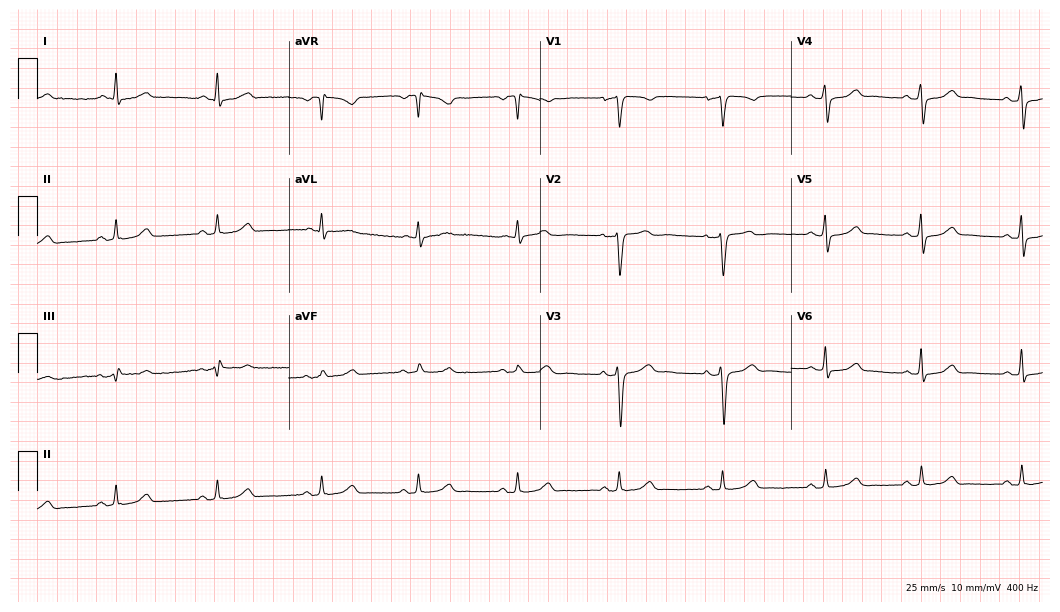
ECG (10.2-second recording at 400 Hz) — a 34-year-old female patient. Labelled as a normal ECG.